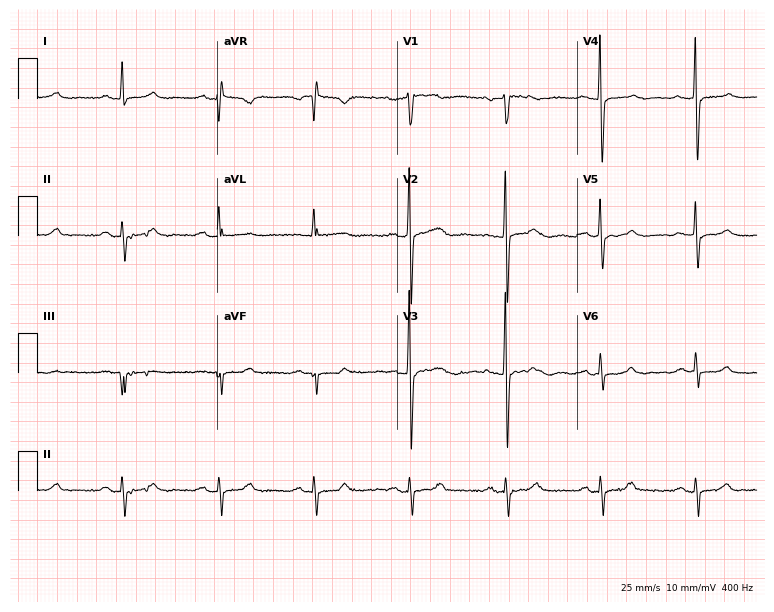
ECG (7.3-second recording at 400 Hz) — a woman, 69 years old. Screened for six findings — first-degree AV block, right bundle branch block, left bundle branch block, sinus bradycardia, atrial fibrillation, sinus tachycardia — none is recorded.